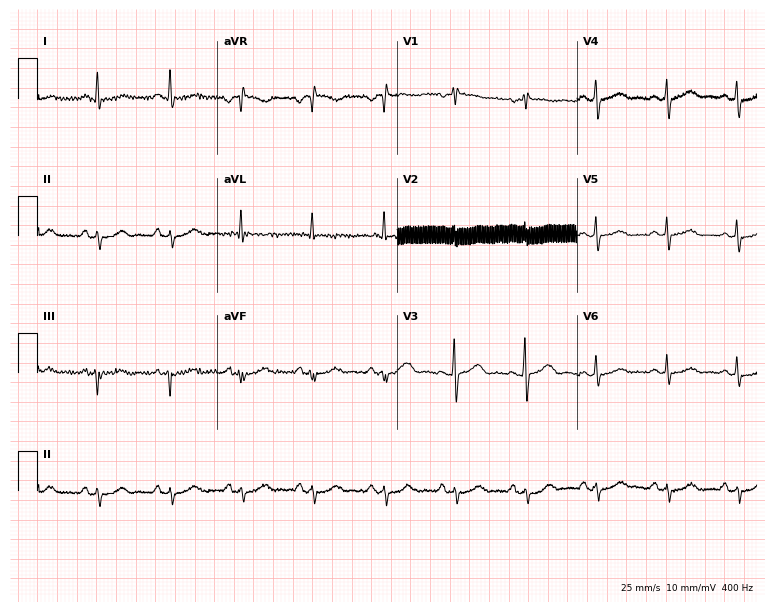
12-lead ECG from a female patient, 58 years old (7.3-second recording at 400 Hz). No first-degree AV block, right bundle branch block, left bundle branch block, sinus bradycardia, atrial fibrillation or sinus tachycardia recorded for this tracing. Only these six findings were labelled.